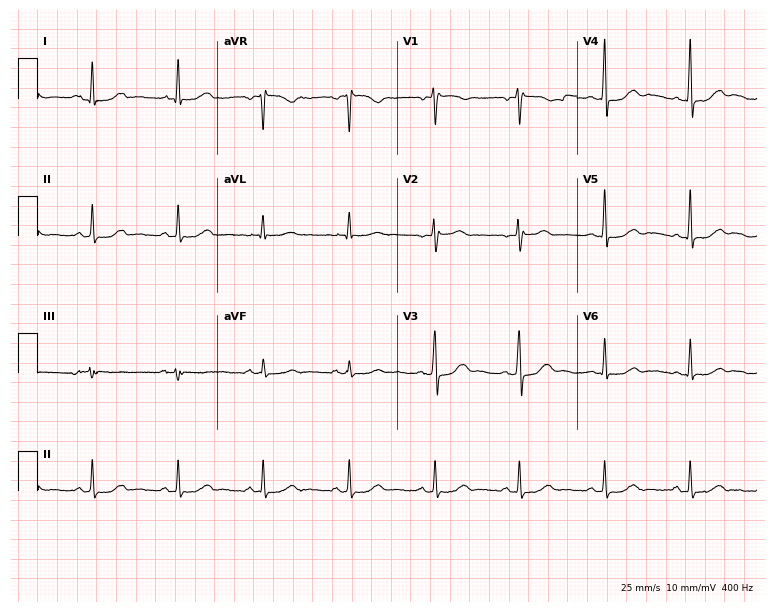
12-lead ECG (7.3-second recording at 400 Hz) from a 52-year-old female patient. Labelled as a normal ECG.